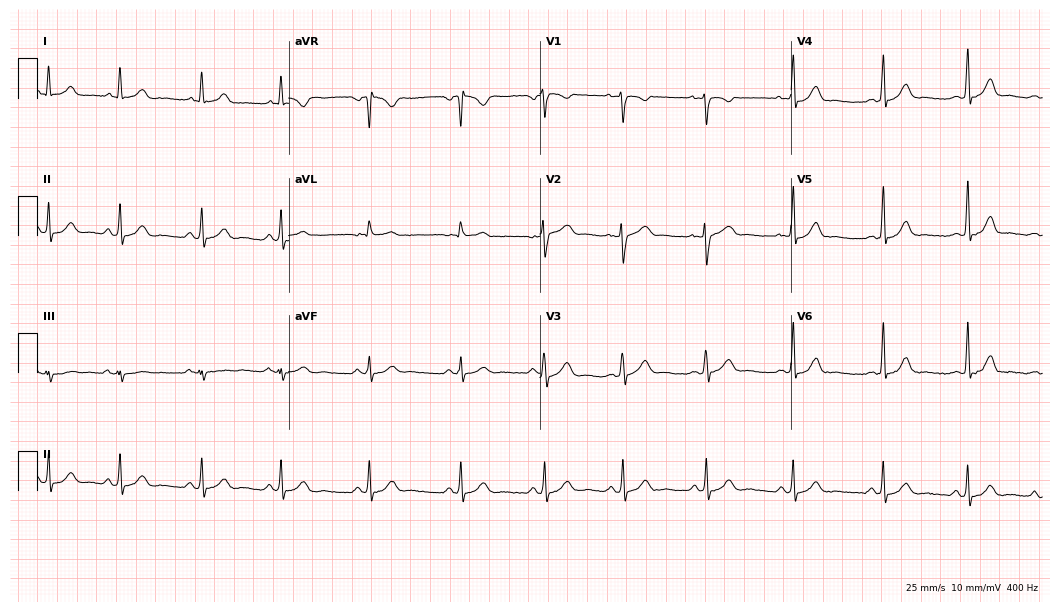
Electrocardiogram, a 31-year-old woman. Overall reading on record: normal ECG.